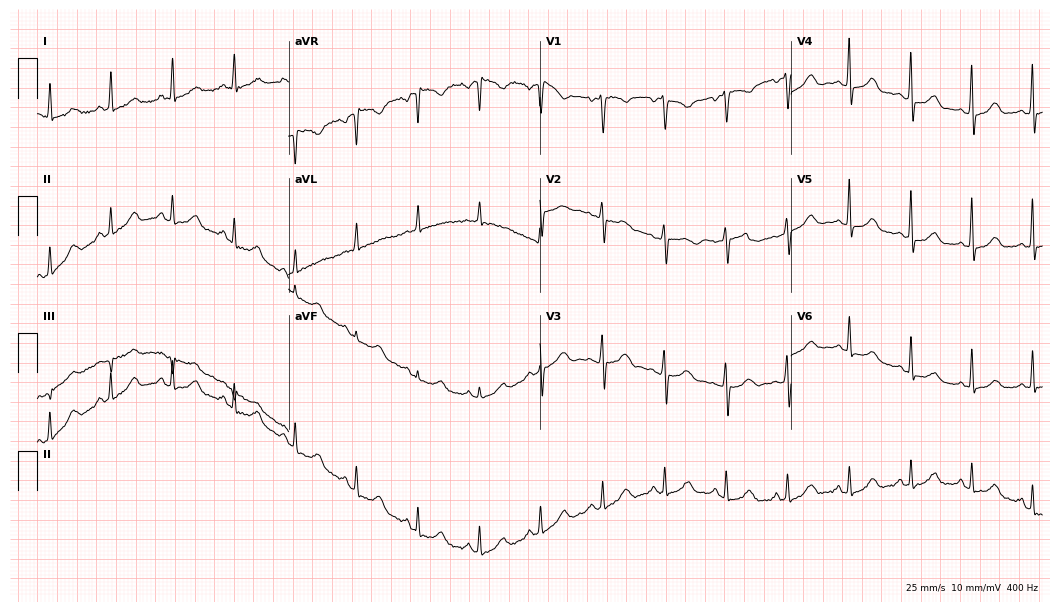
ECG — a female, 46 years old. Screened for six findings — first-degree AV block, right bundle branch block, left bundle branch block, sinus bradycardia, atrial fibrillation, sinus tachycardia — none is recorded.